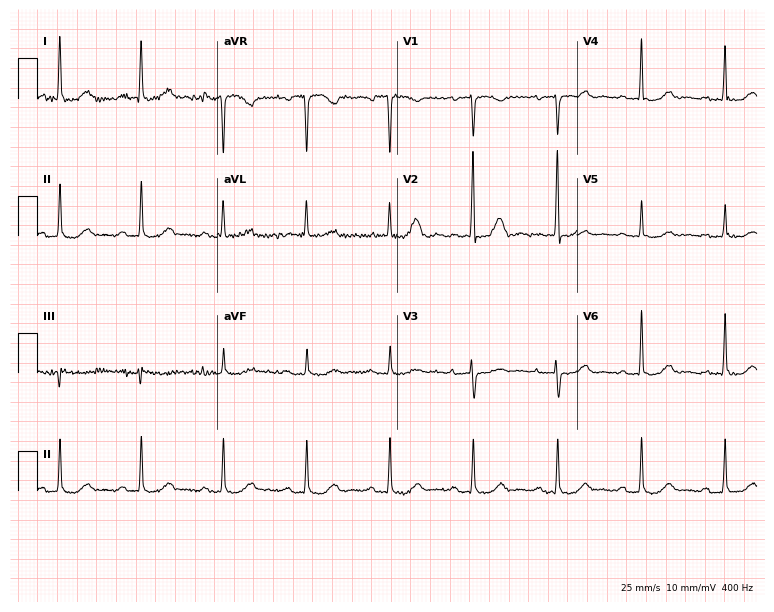
Standard 12-lead ECG recorded from an 82-year-old woman (7.3-second recording at 400 Hz). Read as a normal ECG.